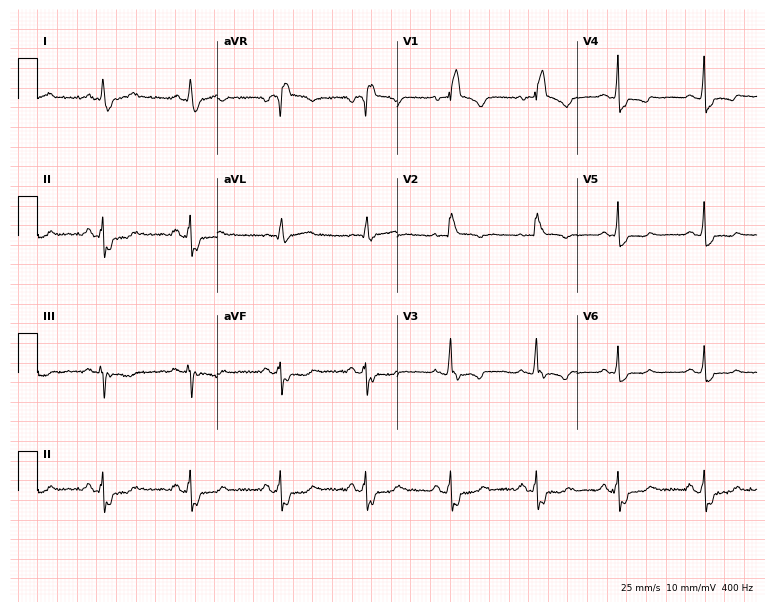
12-lead ECG from a female, 60 years old (7.3-second recording at 400 Hz). Shows right bundle branch block.